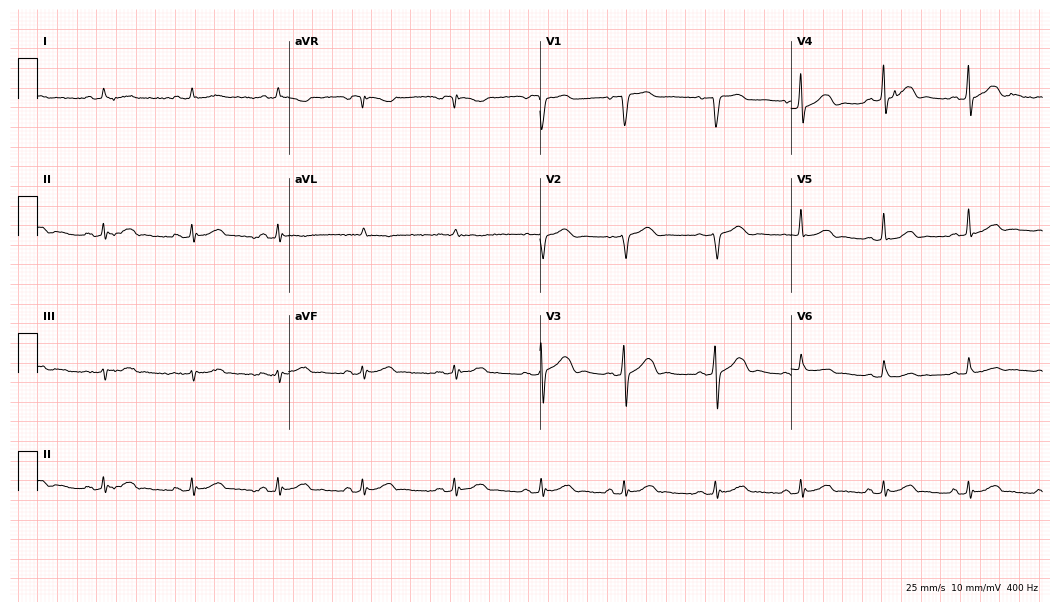
Resting 12-lead electrocardiogram. Patient: a 57-year-old man. None of these six findings is recorded: first-degree AV block, right bundle branch block (RBBB), left bundle branch block (LBBB), sinus bradycardia, atrial fibrillation (AF), sinus tachycardia. Only these six findings were labelled.